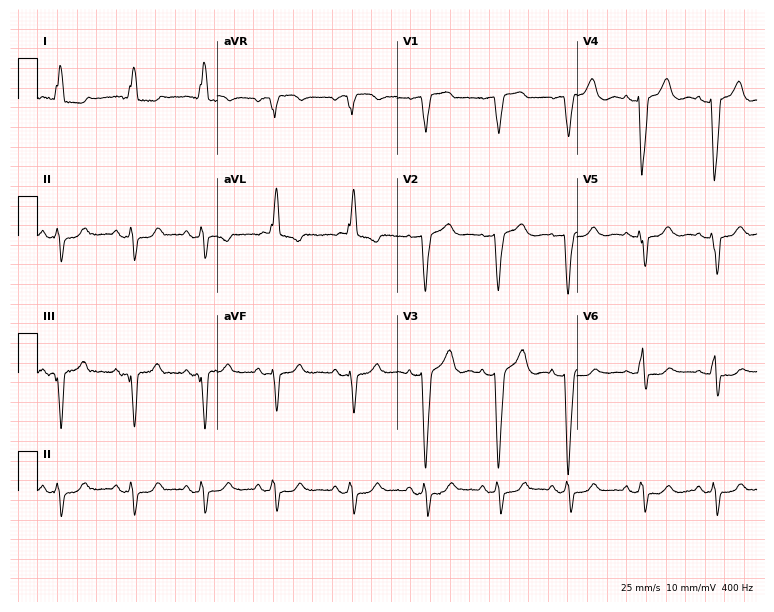
12-lead ECG from a 66-year-old female patient. No first-degree AV block, right bundle branch block (RBBB), left bundle branch block (LBBB), sinus bradycardia, atrial fibrillation (AF) or sinus tachycardia recorded for this tracing.